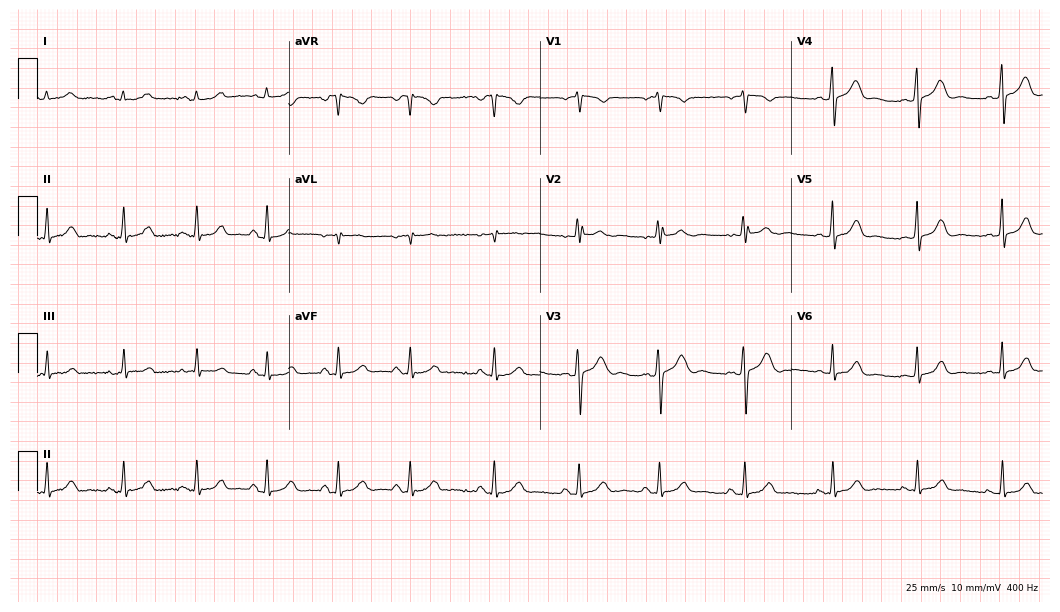
12-lead ECG (10.2-second recording at 400 Hz) from a 29-year-old female. Labelled as a normal ECG.